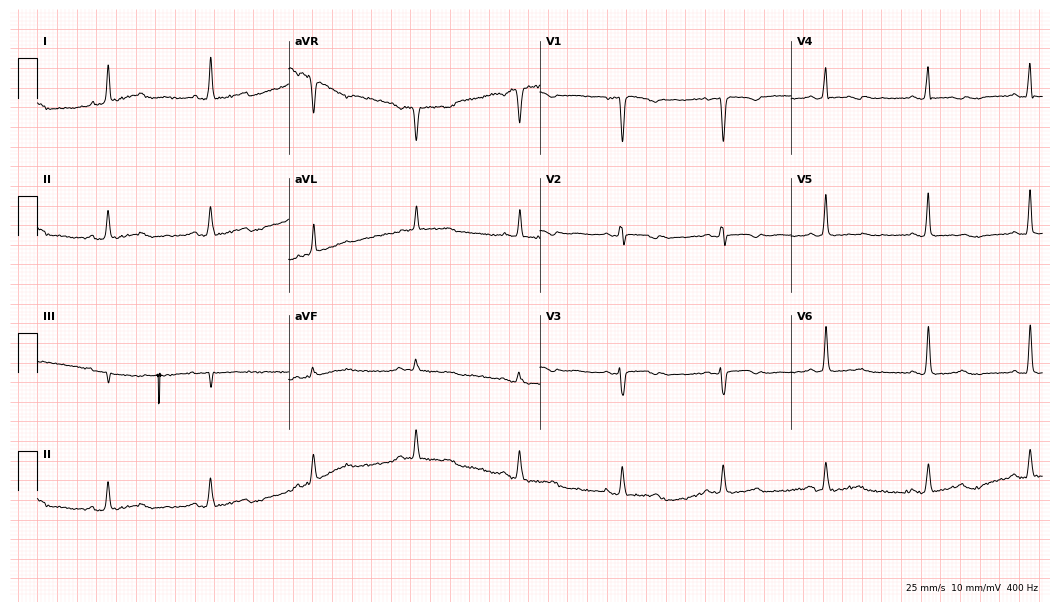
Standard 12-lead ECG recorded from a female, 70 years old (10.2-second recording at 400 Hz). None of these six findings is recorded: first-degree AV block, right bundle branch block (RBBB), left bundle branch block (LBBB), sinus bradycardia, atrial fibrillation (AF), sinus tachycardia. Other findings, if any, are not listed.